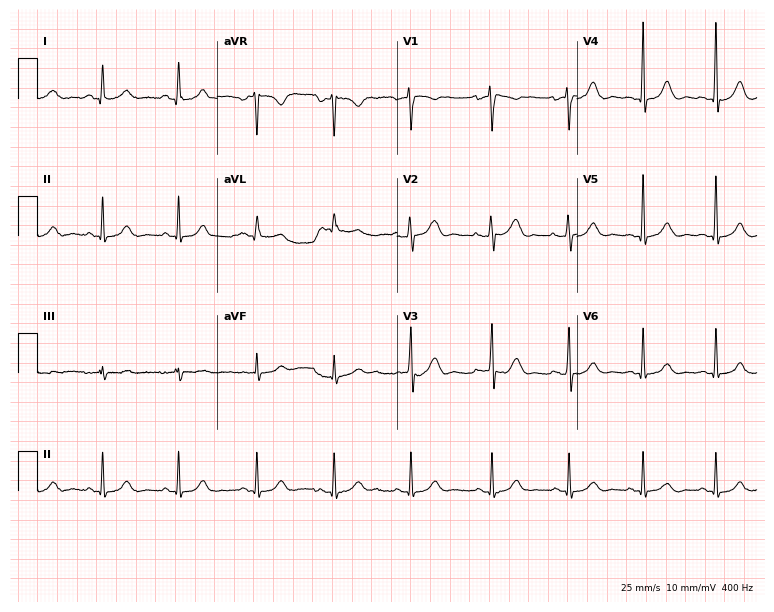
12-lead ECG from a female, 40 years old. Recorded interpretation: within normal limits.